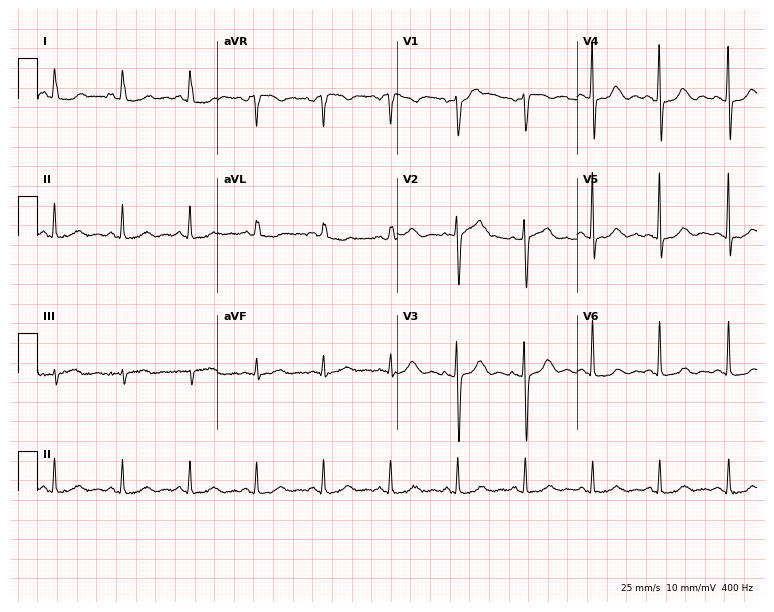
Electrocardiogram (7.3-second recording at 400 Hz), a female patient, 54 years old. Overall reading on record: normal ECG.